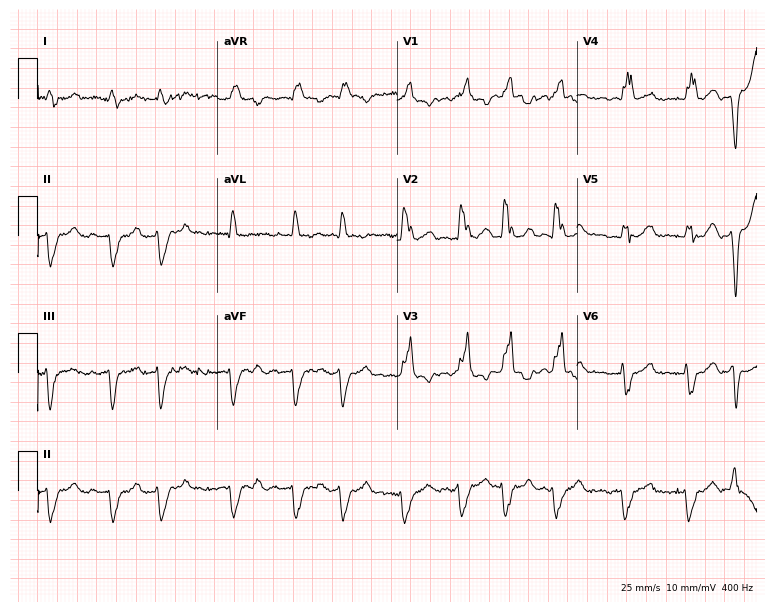
Resting 12-lead electrocardiogram (7.3-second recording at 400 Hz). Patient: a female, 78 years old. The tracing shows right bundle branch block (RBBB), atrial fibrillation (AF).